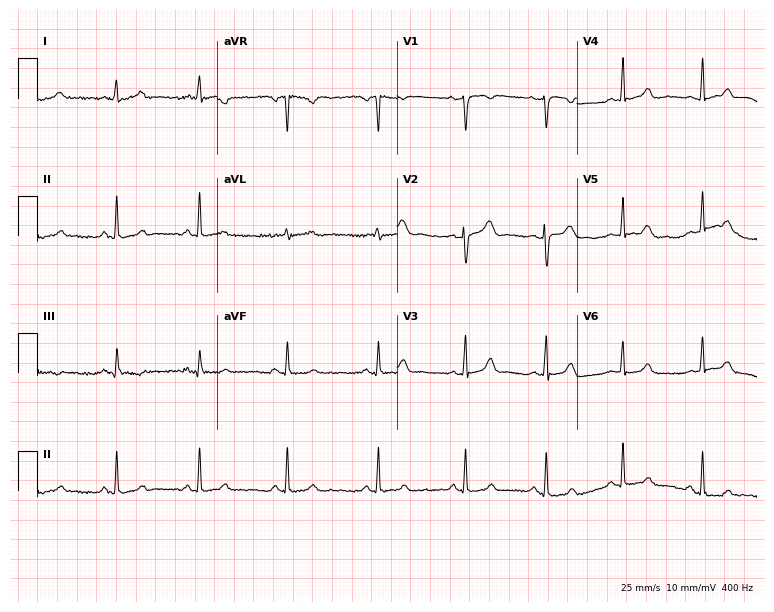
ECG (7.3-second recording at 400 Hz) — a 28-year-old female patient. Labelled as a normal ECG.